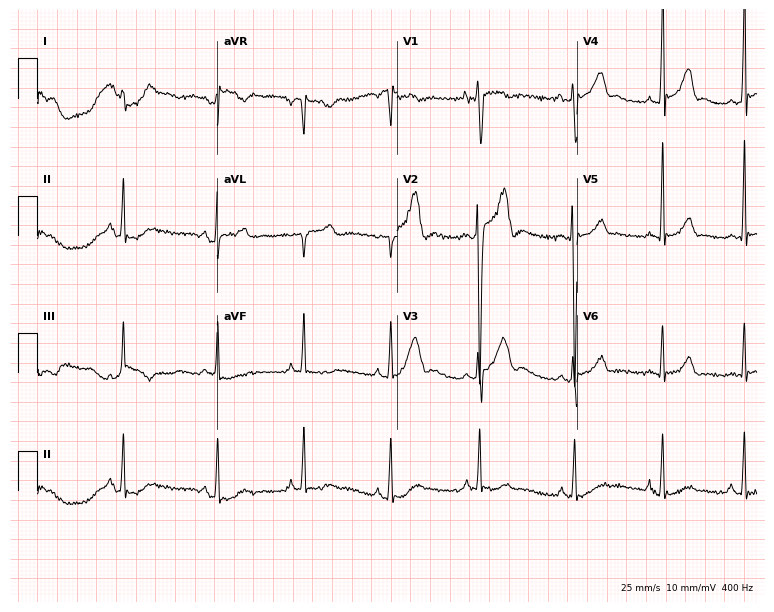
12-lead ECG from a 17-year-old male (7.3-second recording at 400 Hz). Recorded interpretation: within normal limits.